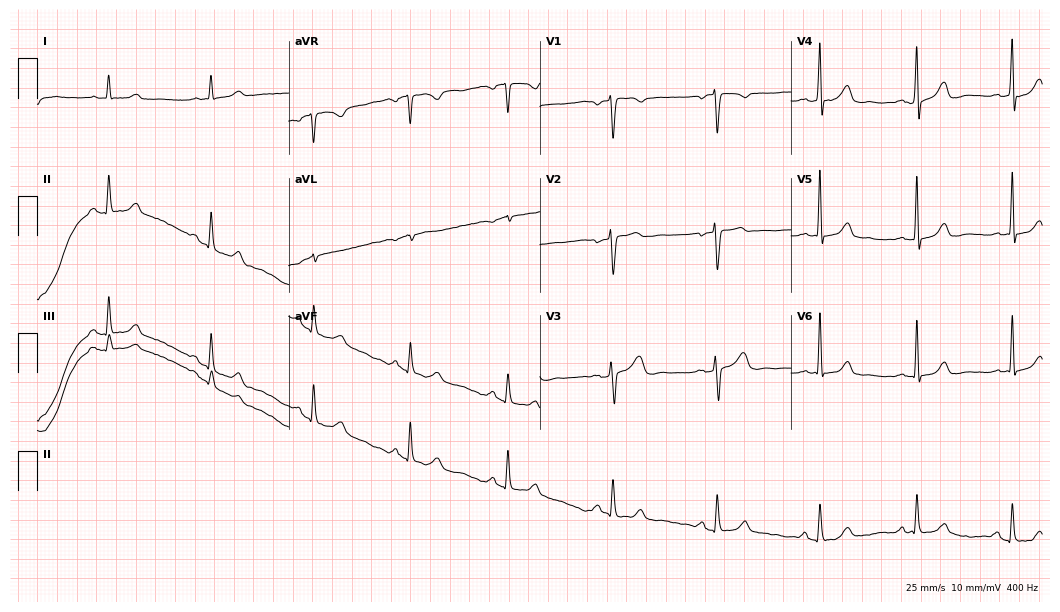
Electrocardiogram, a 48-year-old female. Overall reading on record: normal ECG.